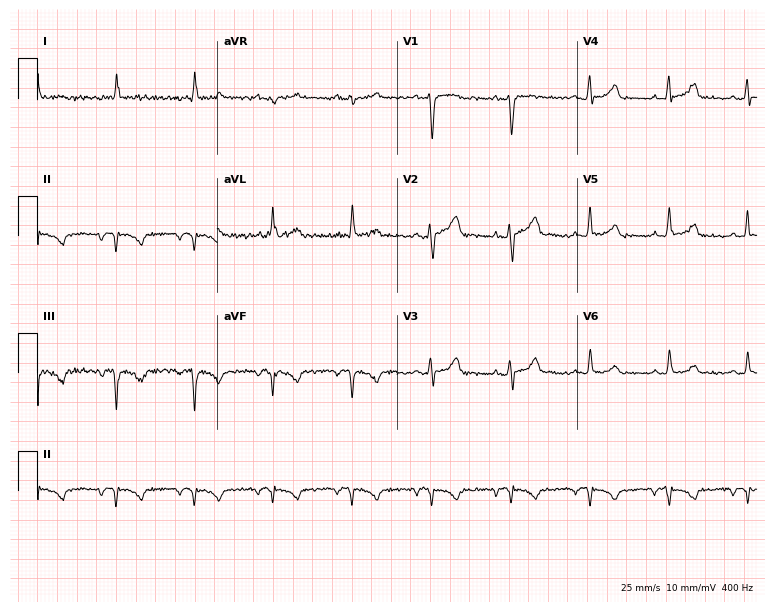
12-lead ECG from a female, 40 years old. Screened for six findings — first-degree AV block, right bundle branch block, left bundle branch block, sinus bradycardia, atrial fibrillation, sinus tachycardia — none is recorded.